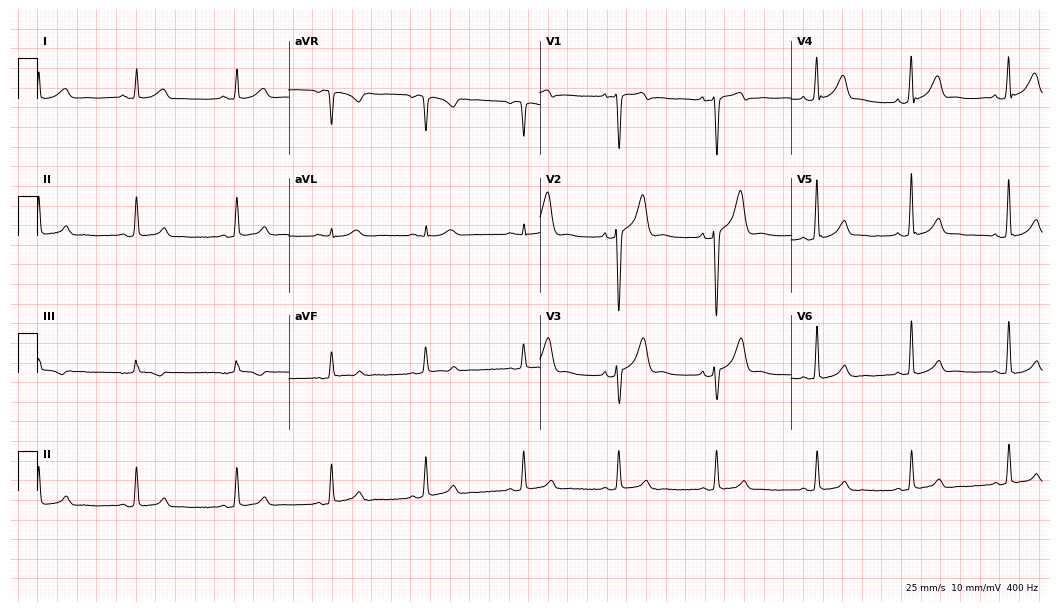
Resting 12-lead electrocardiogram (10.2-second recording at 400 Hz). Patient: a 24-year-old male. Read as a normal ECG.